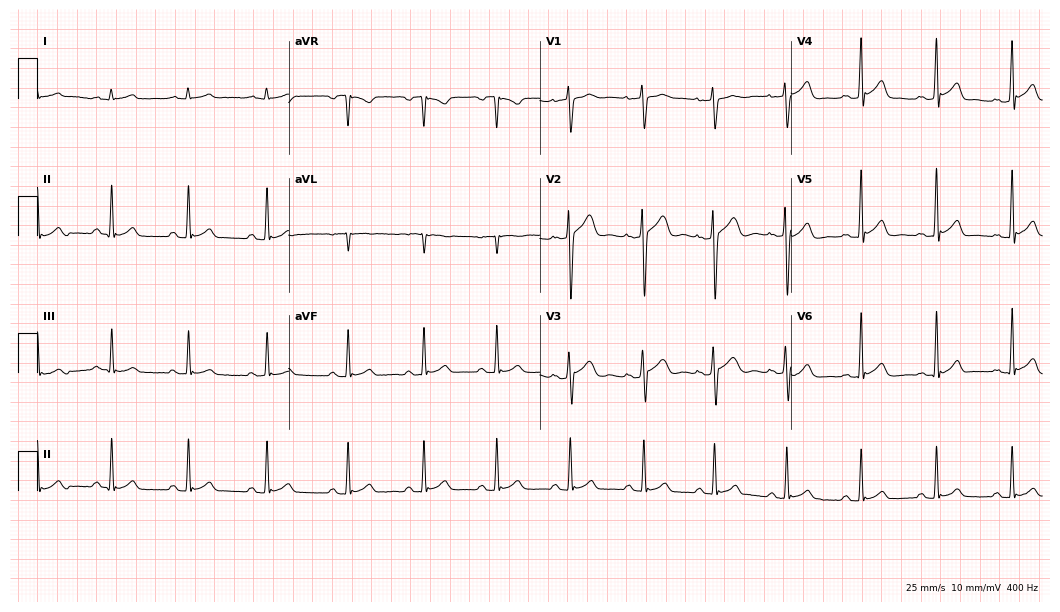
Standard 12-lead ECG recorded from a 22-year-old male patient (10.2-second recording at 400 Hz). None of these six findings is recorded: first-degree AV block, right bundle branch block (RBBB), left bundle branch block (LBBB), sinus bradycardia, atrial fibrillation (AF), sinus tachycardia. Only these six findings were labelled.